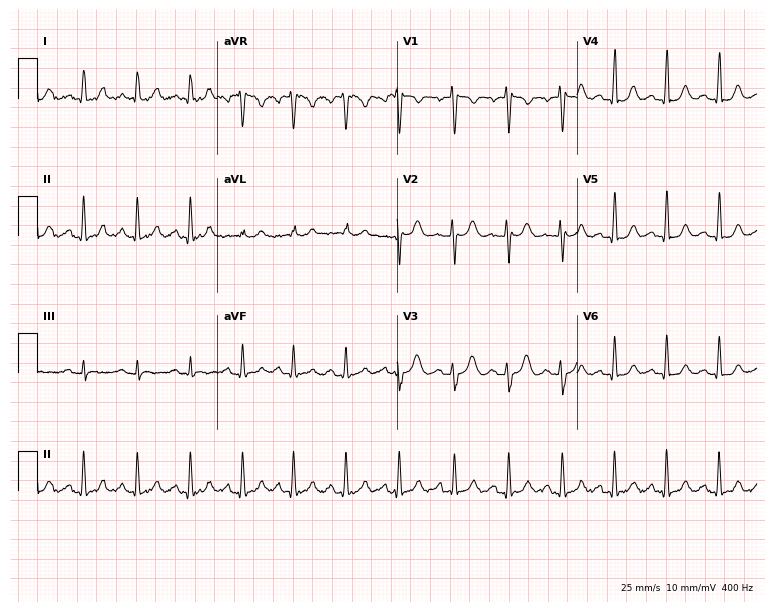
12-lead ECG from a female, 19 years old. Screened for six findings — first-degree AV block, right bundle branch block, left bundle branch block, sinus bradycardia, atrial fibrillation, sinus tachycardia — none is recorded. Findings outside these six are not listed.